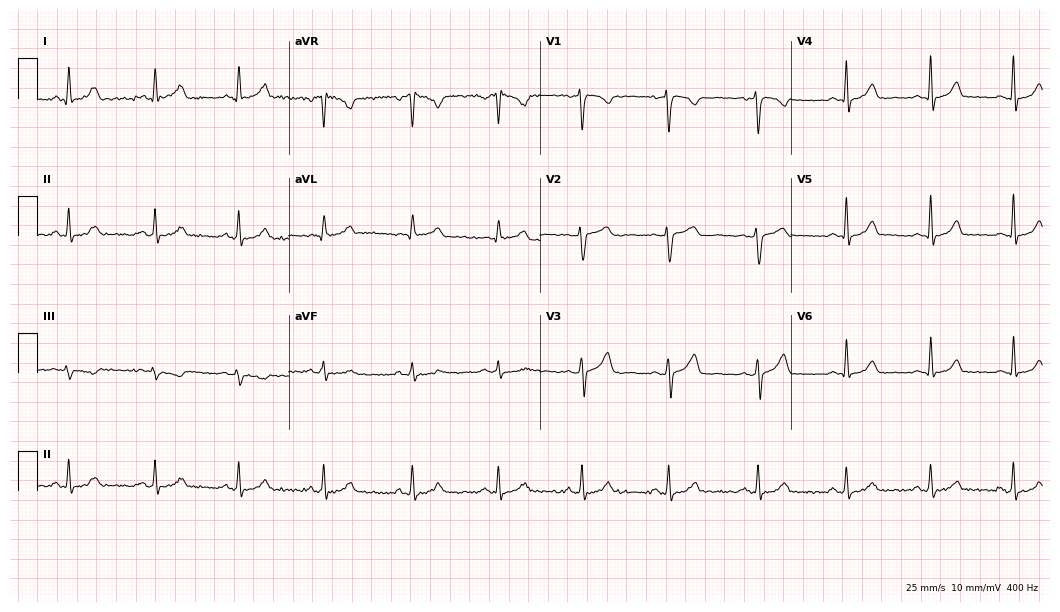
12-lead ECG from a 30-year-old female. Recorded interpretation: within normal limits.